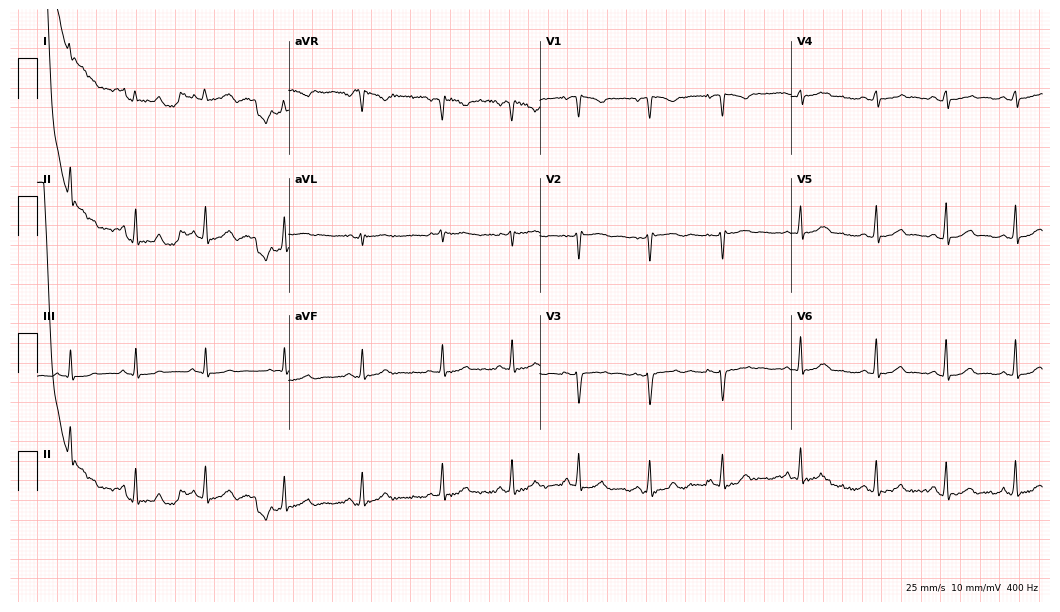
Electrocardiogram, a female, 24 years old. Of the six screened findings (first-degree AV block, right bundle branch block, left bundle branch block, sinus bradycardia, atrial fibrillation, sinus tachycardia), none is recorded.